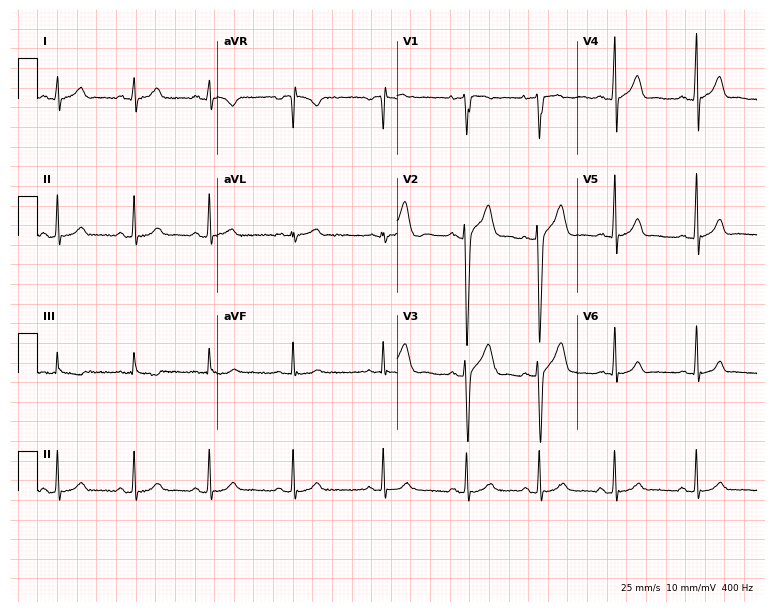
ECG (7.3-second recording at 400 Hz) — a man, 17 years old. Labelled as a normal ECG.